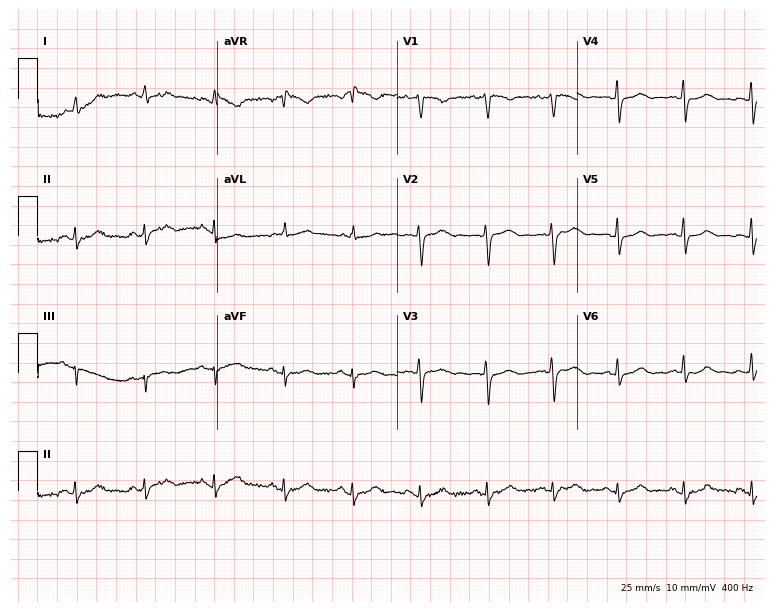
ECG (7.3-second recording at 400 Hz) — a 35-year-old woman. Screened for six findings — first-degree AV block, right bundle branch block, left bundle branch block, sinus bradycardia, atrial fibrillation, sinus tachycardia — none is recorded.